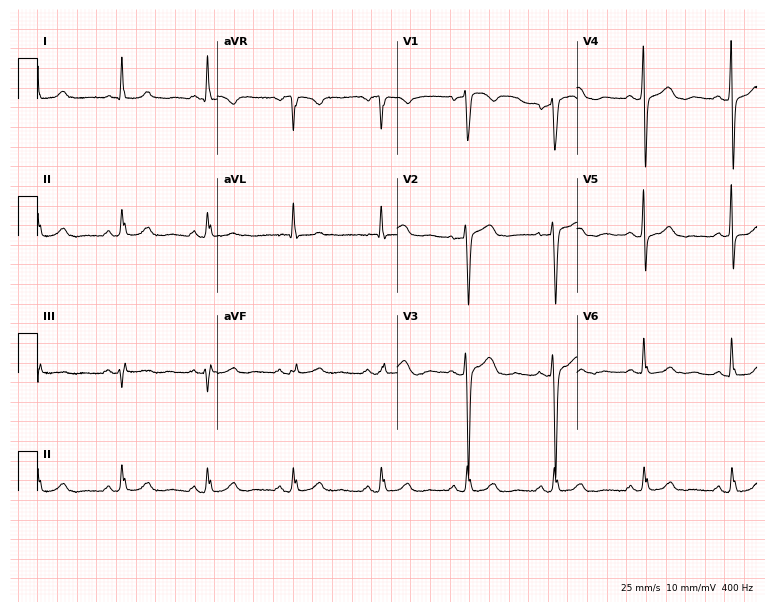
Standard 12-lead ECG recorded from a female patient, 52 years old. None of these six findings is recorded: first-degree AV block, right bundle branch block (RBBB), left bundle branch block (LBBB), sinus bradycardia, atrial fibrillation (AF), sinus tachycardia.